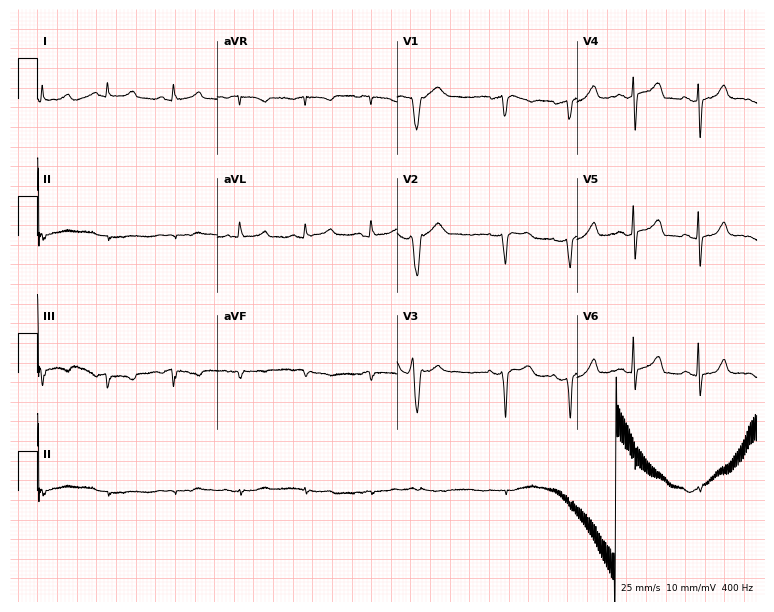
12-lead ECG from an 83-year-old woman. Screened for six findings — first-degree AV block, right bundle branch block, left bundle branch block, sinus bradycardia, atrial fibrillation, sinus tachycardia — none is recorded. Findings outside these six are not listed.